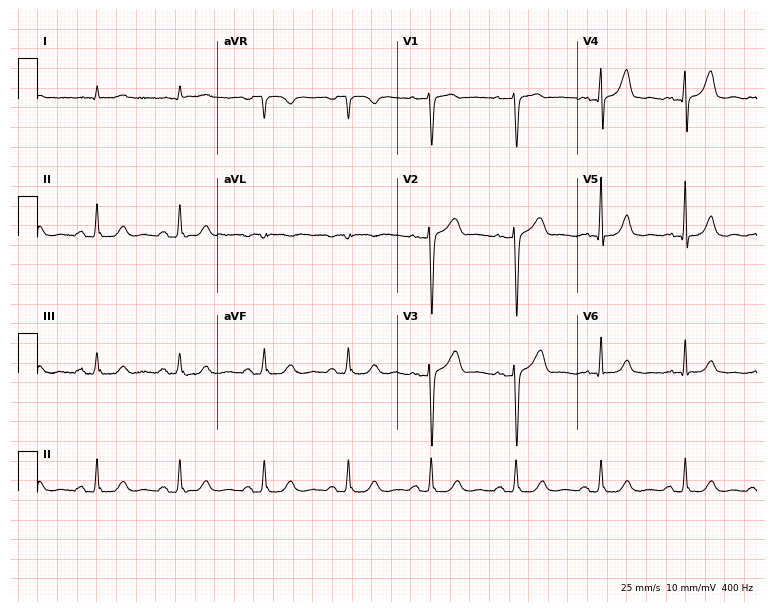
Electrocardiogram, a 68-year-old male. Overall reading on record: normal ECG.